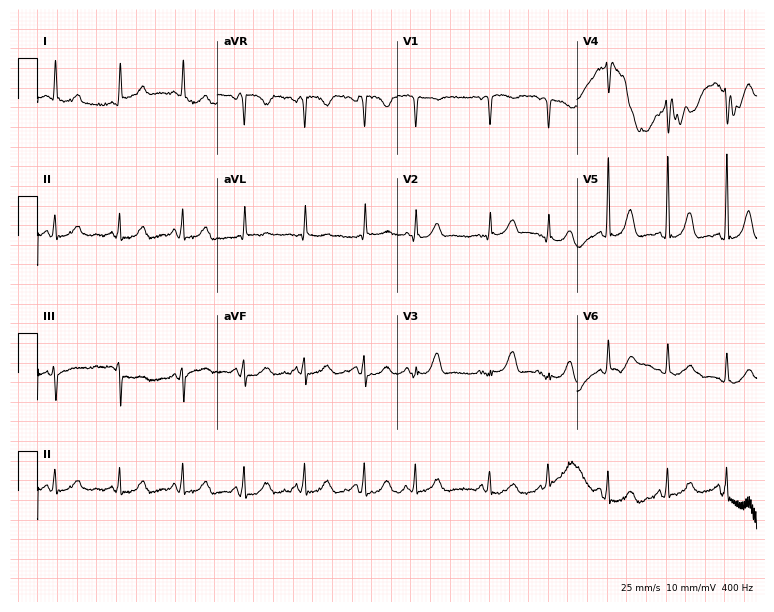
Standard 12-lead ECG recorded from an 82-year-old female. None of these six findings is recorded: first-degree AV block, right bundle branch block, left bundle branch block, sinus bradycardia, atrial fibrillation, sinus tachycardia. Only these six findings were labelled.